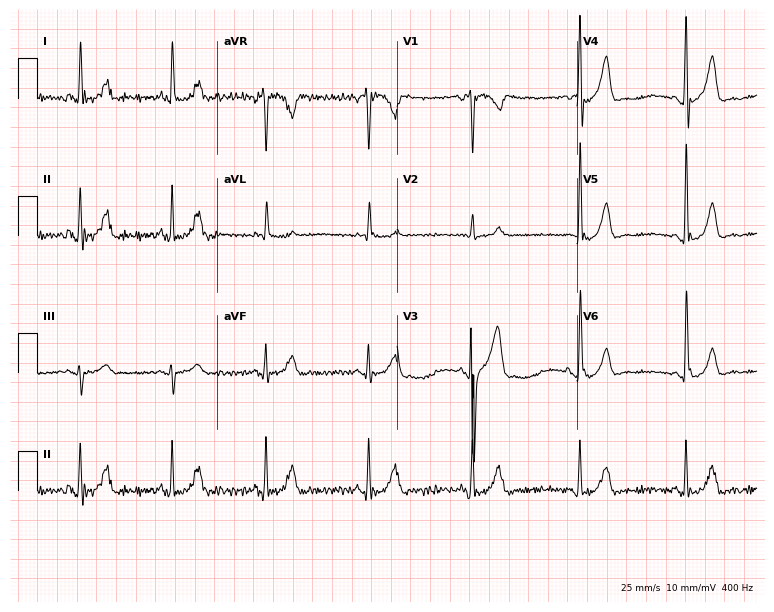
Resting 12-lead electrocardiogram. Patient: a 47-year-old man. Read as a normal ECG.